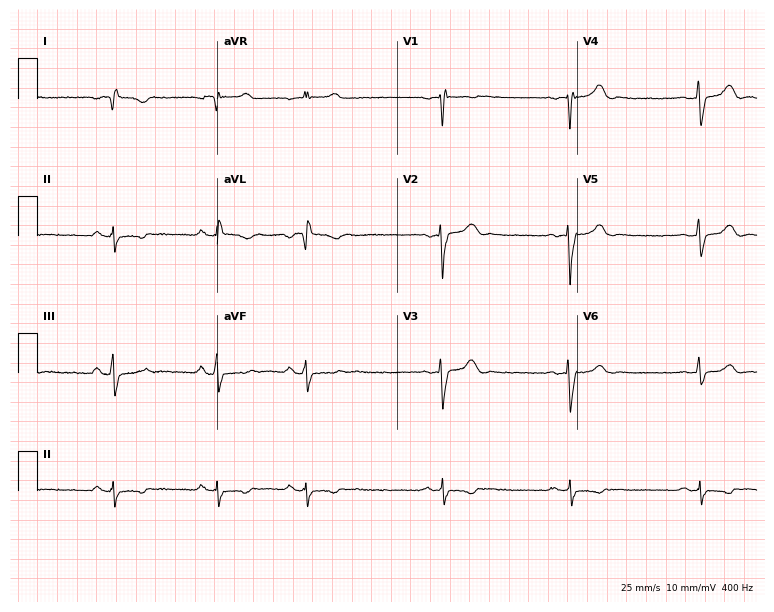
Electrocardiogram (7.3-second recording at 400 Hz), a 31-year-old female patient. Of the six screened findings (first-degree AV block, right bundle branch block (RBBB), left bundle branch block (LBBB), sinus bradycardia, atrial fibrillation (AF), sinus tachycardia), none is recorded. Findings outside these six are not listed.